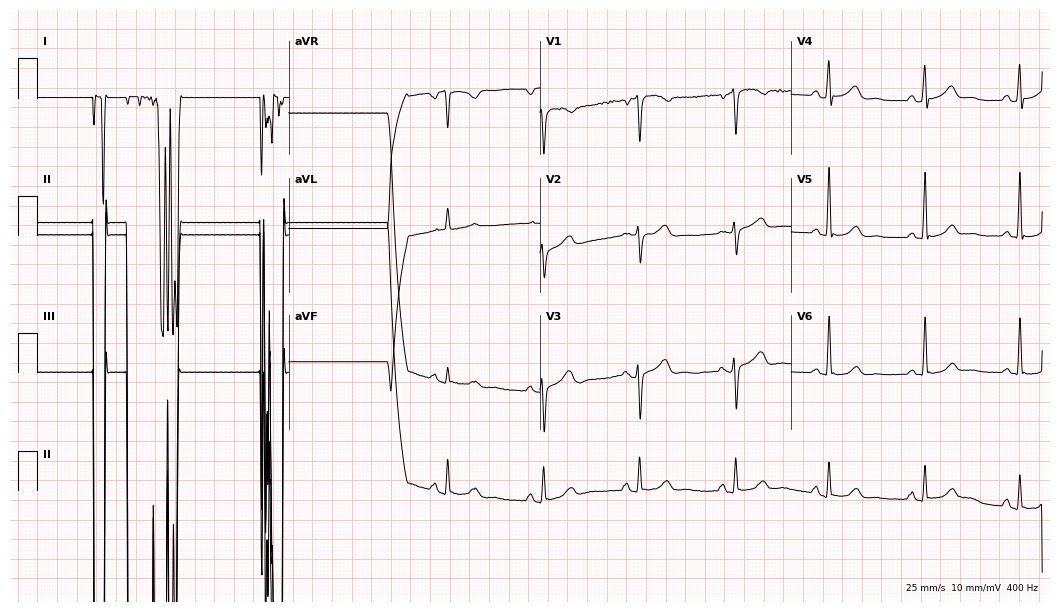
12-lead ECG (10.2-second recording at 400 Hz) from a woman, 61 years old. Screened for six findings — first-degree AV block, right bundle branch block, left bundle branch block, sinus bradycardia, atrial fibrillation, sinus tachycardia — none is recorded. Only these six findings were labelled.